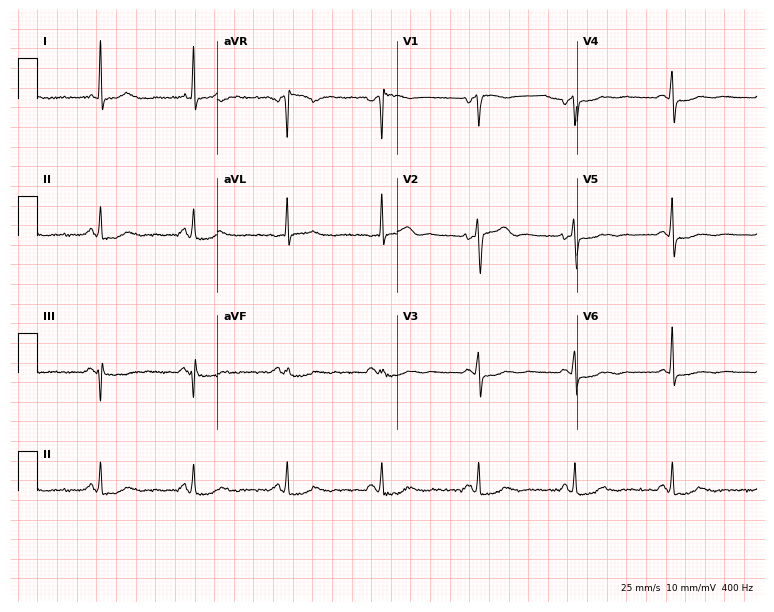
12-lead ECG from a female, 56 years old. Screened for six findings — first-degree AV block, right bundle branch block (RBBB), left bundle branch block (LBBB), sinus bradycardia, atrial fibrillation (AF), sinus tachycardia — none is recorded.